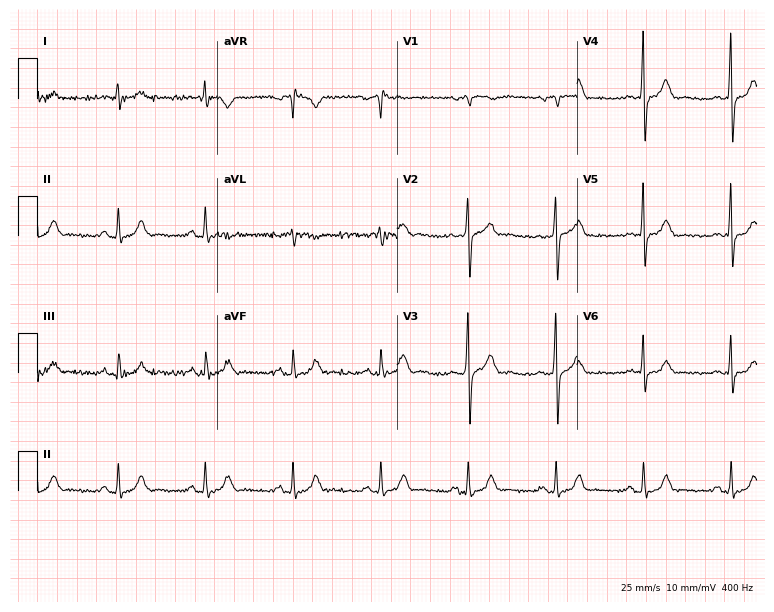
Resting 12-lead electrocardiogram. Patient: a male, 66 years old. Read as a normal ECG.